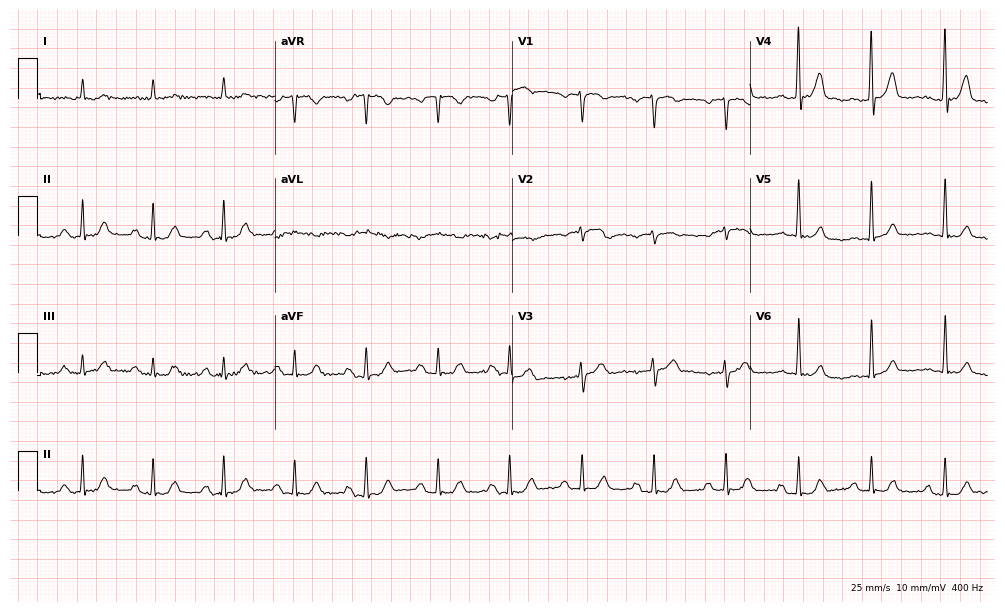
12-lead ECG from a man, 84 years old. Findings include first-degree AV block.